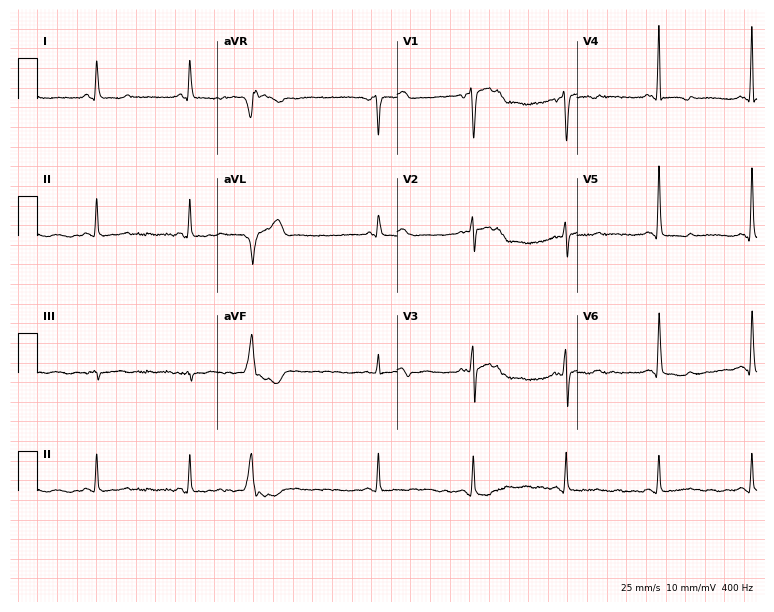
Standard 12-lead ECG recorded from a 59-year-old female patient. None of these six findings is recorded: first-degree AV block, right bundle branch block (RBBB), left bundle branch block (LBBB), sinus bradycardia, atrial fibrillation (AF), sinus tachycardia.